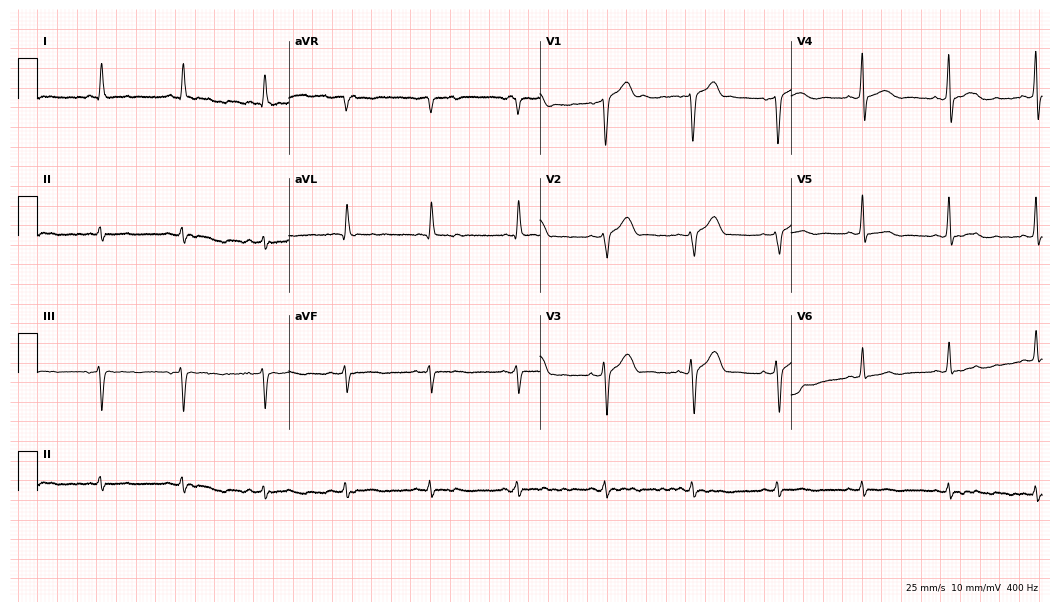
Standard 12-lead ECG recorded from a male patient, 50 years old. Read as a normal ECG.